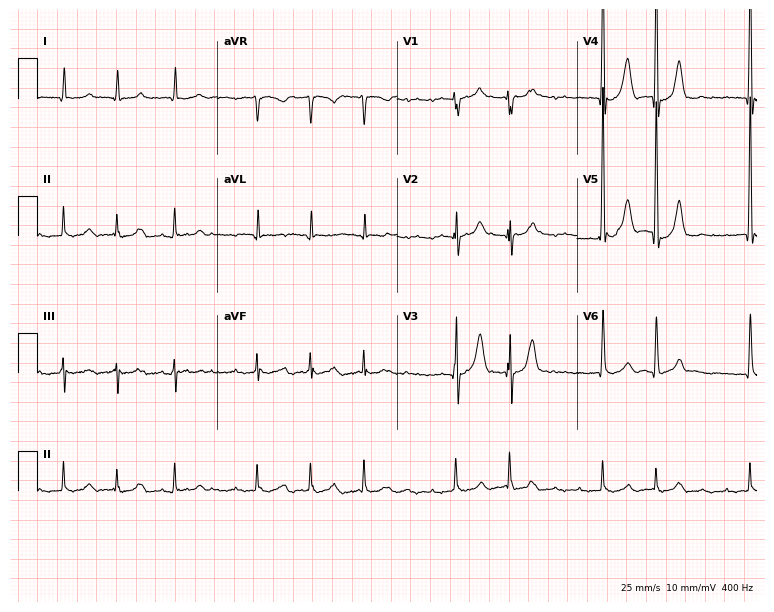
ECG — a male patient, 84 years old. Findings include atrial fibrillation.